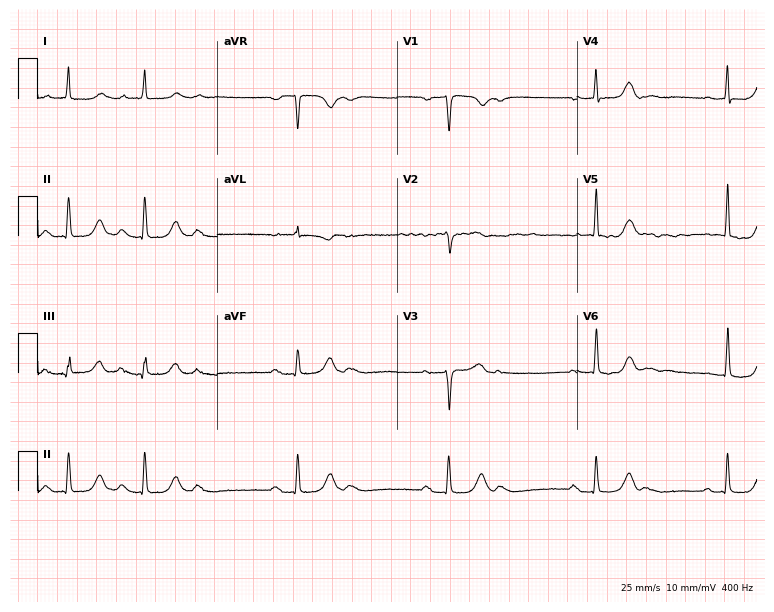
Electrocardiogram (7.3-second recording at 400 Hz), an 83-year-old woman. Of the six screened findings (first-degree AV block, right bundle branch block, left bundle branch block, sinus bradycardia, atrial fibrillation, sinus tachycardia), none is recorded.